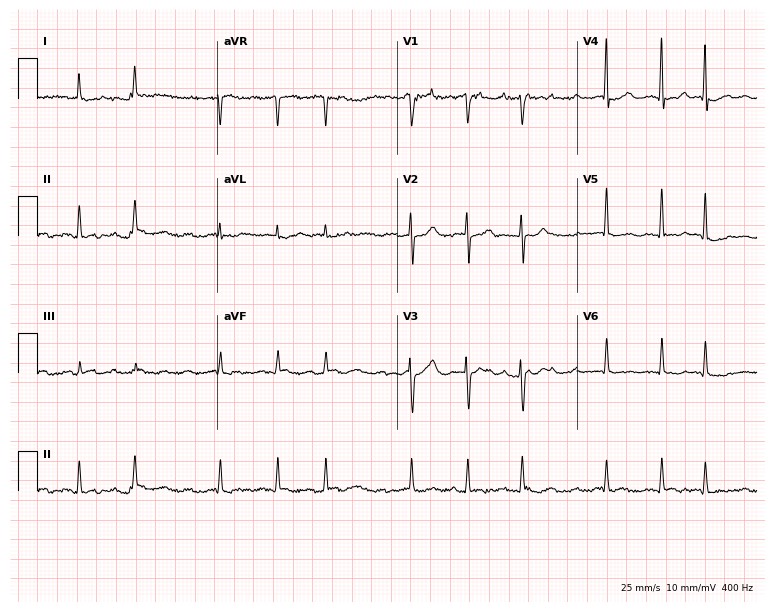
ECG (7.3-second recording at 400 Hz) — a male, 79 years old. Findings include atrial fibrillation (AF).